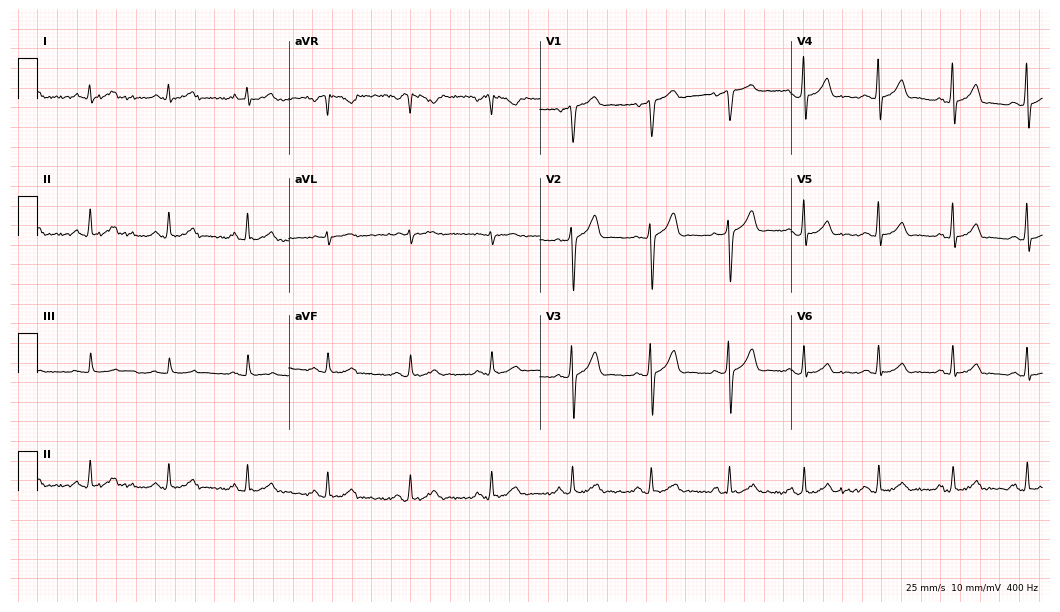
Standard 12-lead ECG recorded from a 44-year-old man (10.2-second recording at 400 Hz). Read as a normal ECG.